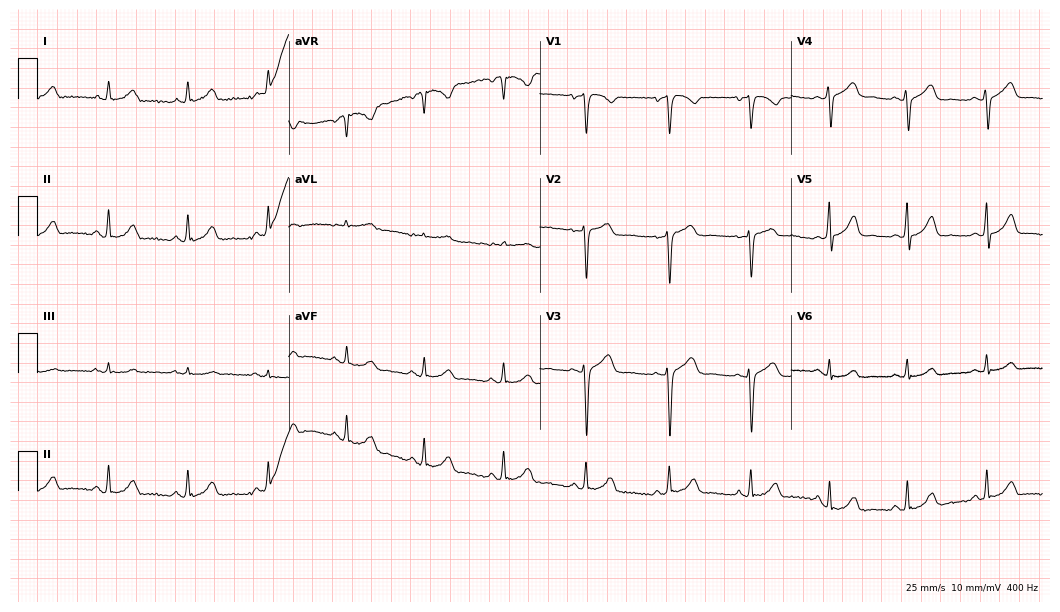
Resting 12-lead electrocardiogram (10.2-second recording at 400 Hz). Patient: a 45-year-old female. Read as a normal ECG.